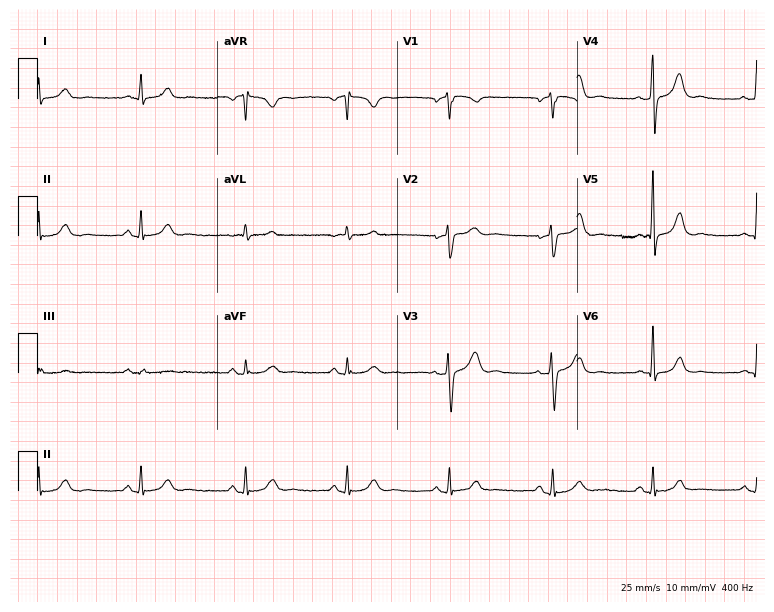
Electrocardiogram, a 64-year-old man. Overall reading on record: normal ECG.